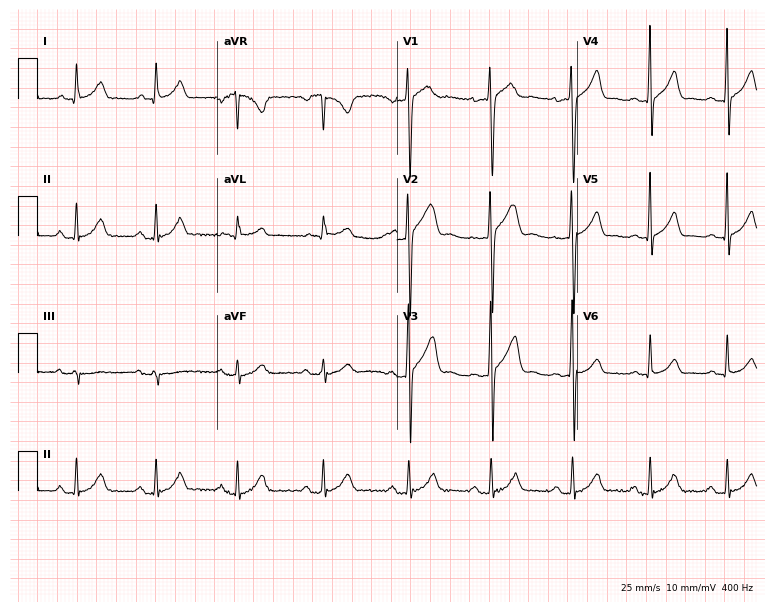
12-lead ECG (7.3-second recording at 400 Hz) from a male patient, 21 years old. Labelled as a normal ECG.